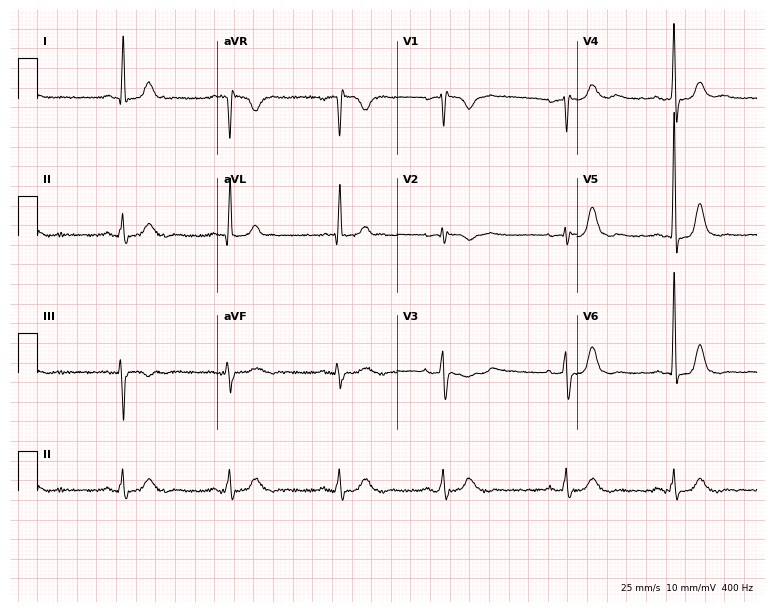
Standard 12-lead ECG recorded from a female, 61 years old. None of these six findings is recorded: first-degree AV block, right bundle branch block (RBBB), left bundle branch block (LBBB), sinus bradycardia, atrial fibrillation (AF), sinus tachycardia. Findings outside these six are not listed.